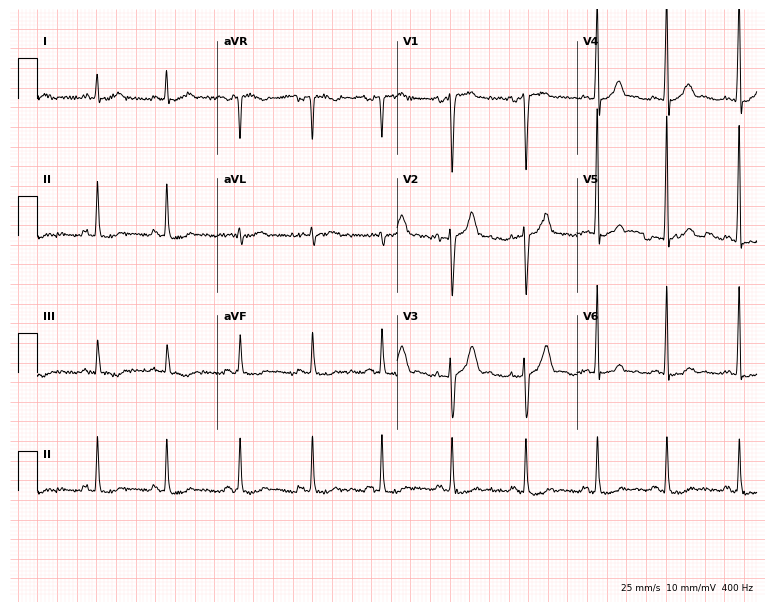
12-lead ECG from a male patient, 32 years old. No first-degree AV block, right bundle branch block (RBBB), left bundle branch block (LBBB), sinus bradycardia, atrial fibrillation (AF) or sinus tachycardia recorded for this tracing.